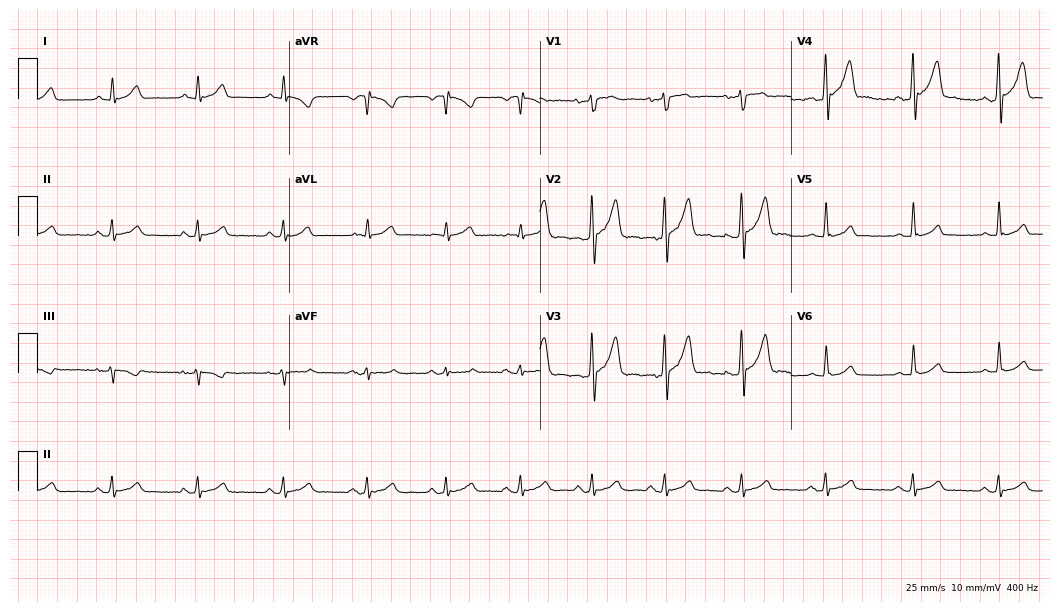
12-lead ECG from a male patient, 29 years old. Recorded interpretation: within normal limits.